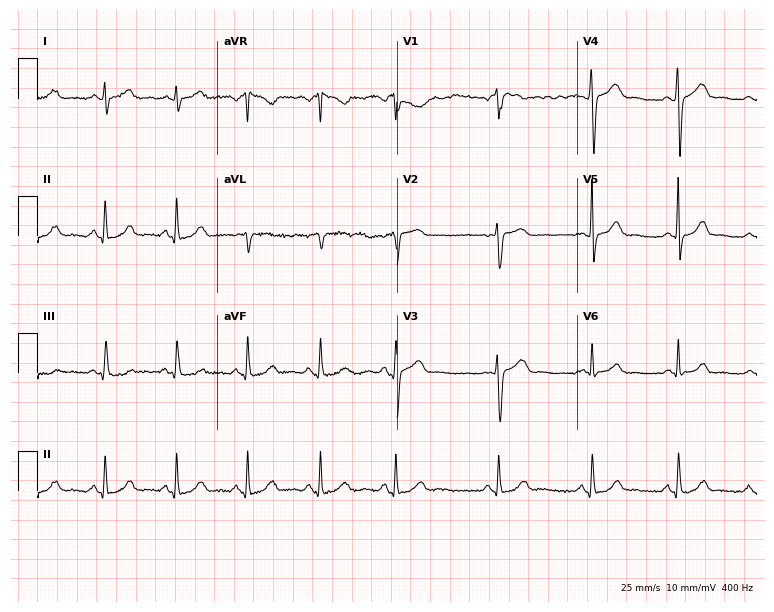
Standard 12-lead ECG recorded from a woman, 18 years old. None of these six findings is recorded: first-degree AV block, right bundle branch block, left bundle branch block, sinus bradycardia, atrial fibrillation, sinus tachycardia.